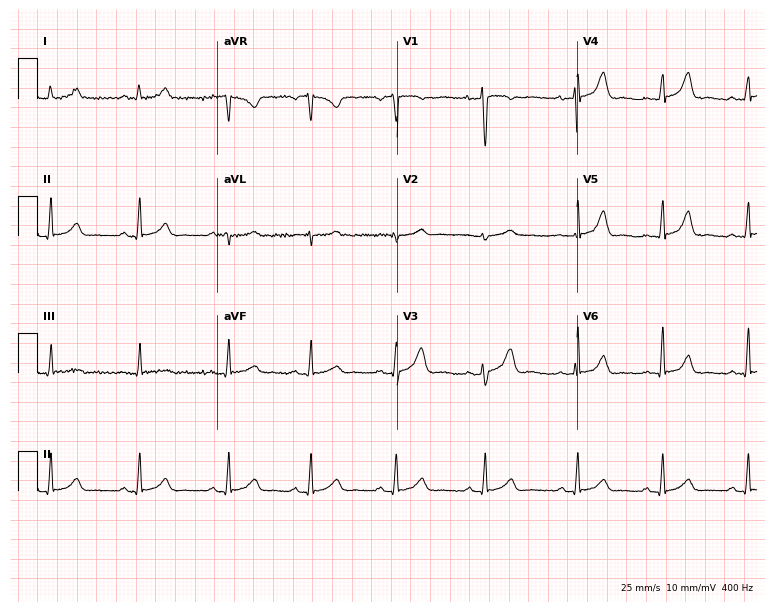
Electrocardiogram, a woman, 29 years old. Overall reading on record: normal ECG.